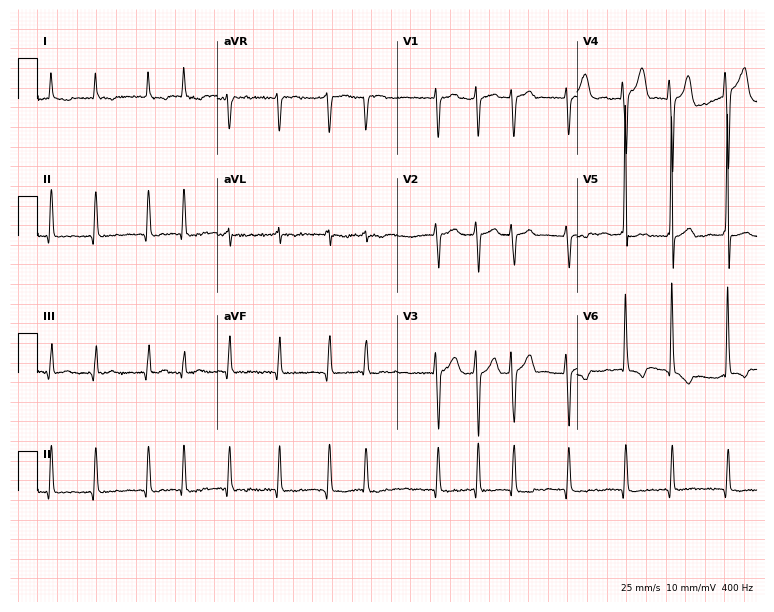
ECG (7.3-second recording at 400 Hz) — a 78-year-old female patient. Findings include atrial fibrillation.